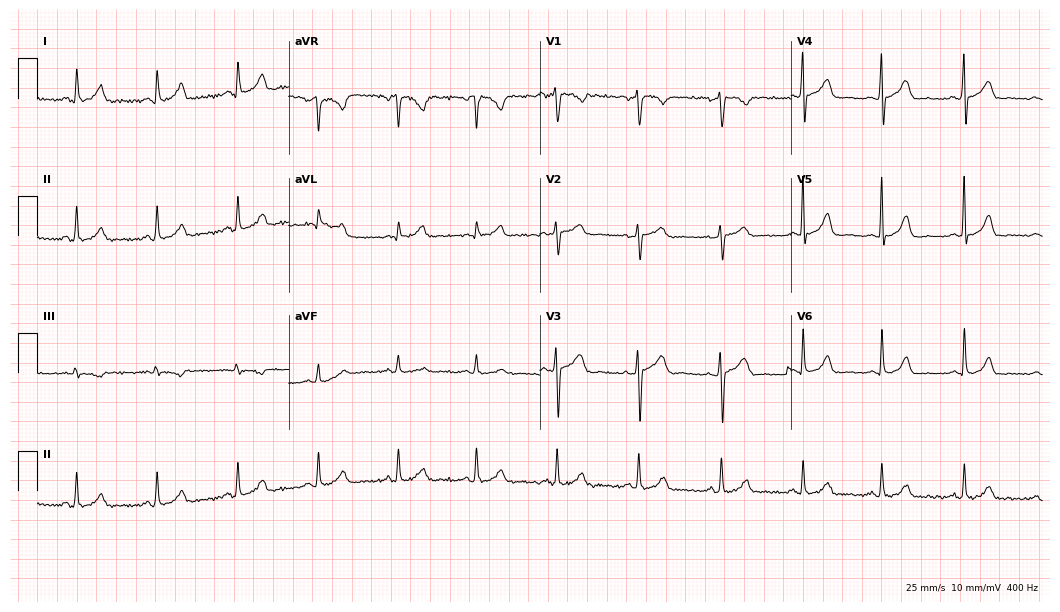
Standard 12-lead ECG recorded from a 34-year-old female patient (10.2-second recording at 400 Hz). Read as a normal ECG.